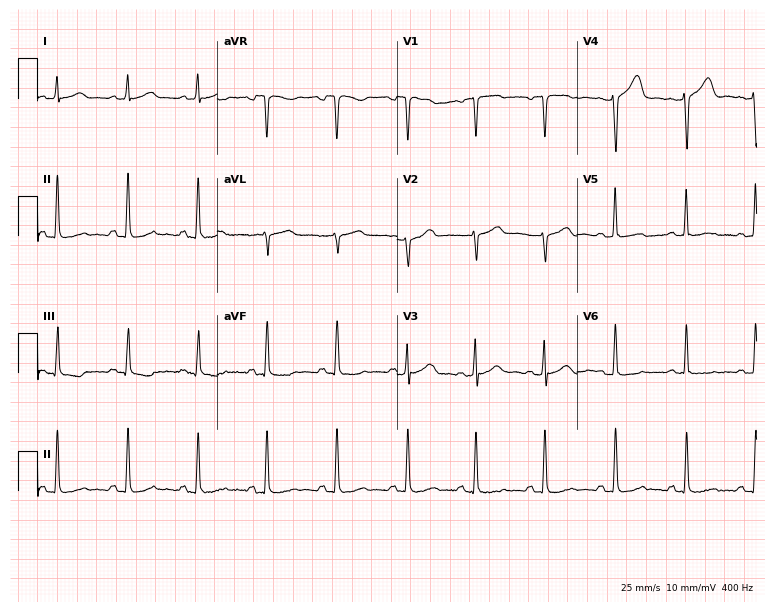
Resting 12-lead electrocardiogram (7.3-second recording at 400 Hz). Patient: a female, 51 years old. Read as a normal ECG.